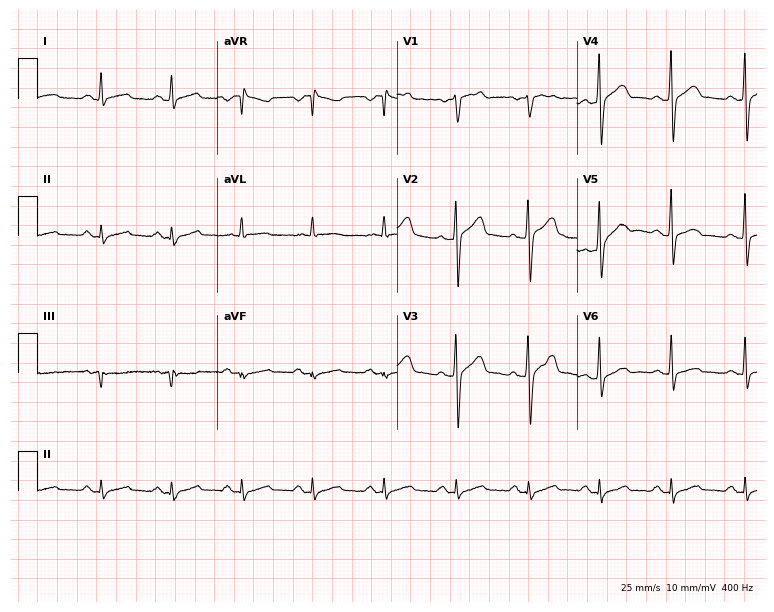
12-lead ECG from a 43-year-old male patient (7.3-second recording at 400 Hz). Recorded interpretation: within normal limits.